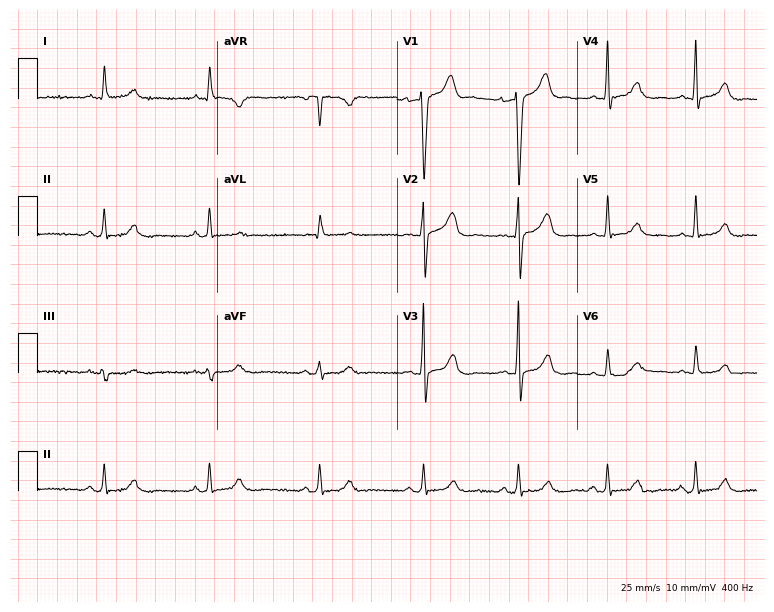
Standard 12-lead ECG recorded from a male, 43 years old. None of these six findings is recorded: first-degree AV block, right bundle branch block (RBBB), left bundle branch block (LBBB), sinus bradycardia, atrial fibrillation (AF), sinus tachycardia. Findings outside these six are not listed.